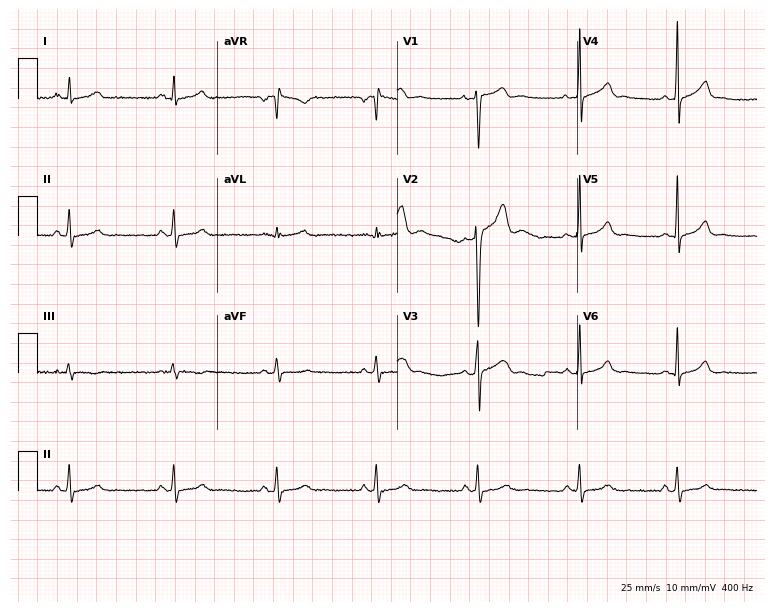
Resting 12-lead electrocardiogram. Patient: a 20-year-old male. Read as a normal ECG.